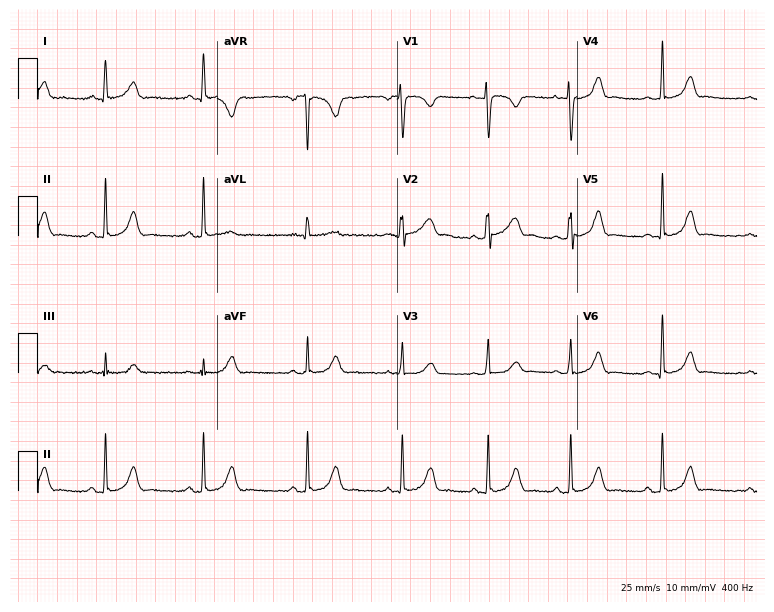
Electrocardiogram (7.3-second recording at 400 Hz), a female patient, 17 years old. Of the six screened findings (first-degree AV block, right bundle branch block (RBBB), left bundle branch block (LBBB), sinus bradycardia, atrial fibrillation (AF), sinus tachycardia), none is recorded. Other findings, if any, are not listed.